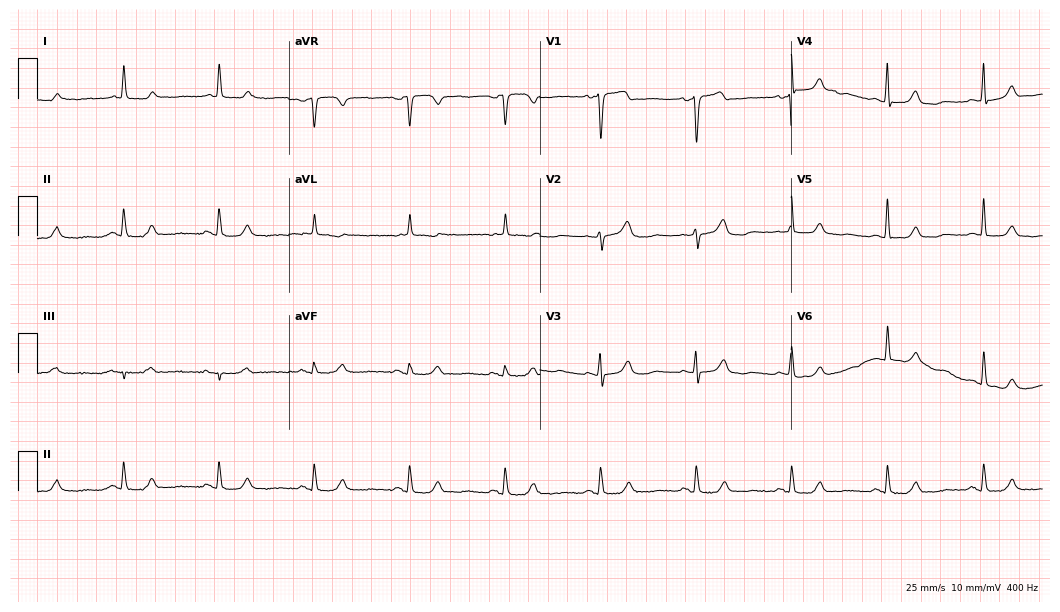
Resting 12-lead electrocardiogram. Patient: a 71-year-old woman. None of these six findings is recorded: first-degree AV block, right bundle branch block, left bundle branch block, sinus bradycardia, atrial fibrillation, sinus tachycardia.